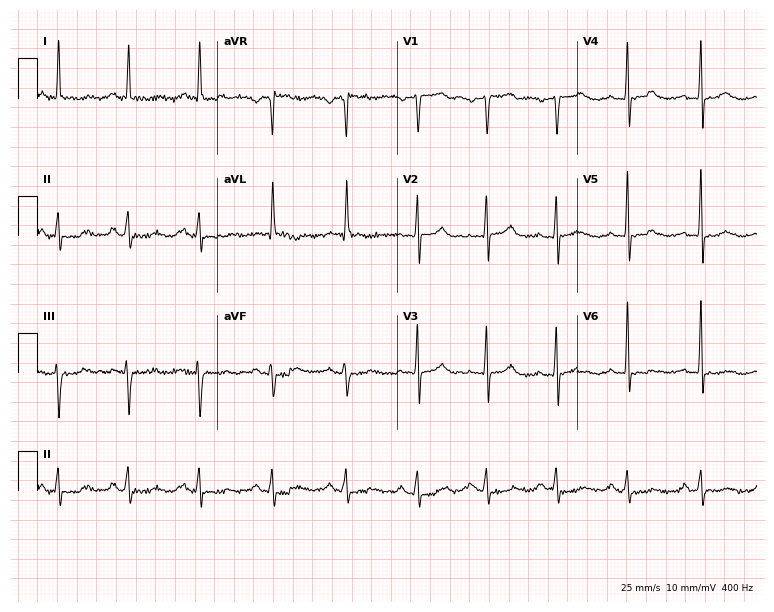
12-lead ECG from a female, 55 years old. Screened for six findings — first-degree AV block, right bundle branch block, left bundle branch block, sinus bradycardia, atrial fibrillation, sinus tachycardia — none is recorded. Findings outside these six are not listed.